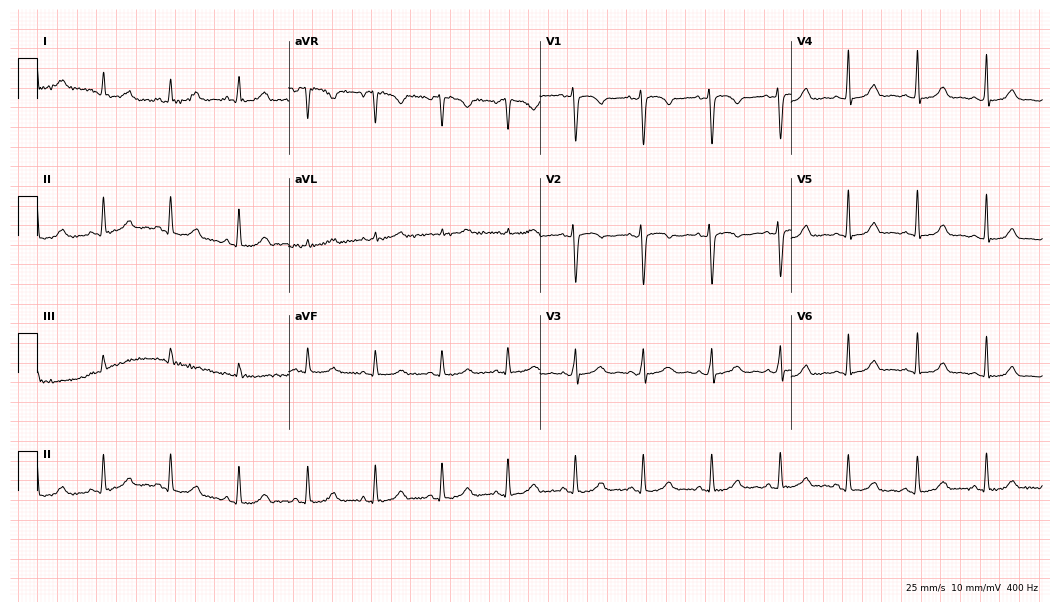
12-lead ECG from a 44-year-old female patient. No first-degree AV block, right bundle branch block, left bundle branch block, sinus bradycardia, atrial fibrillation or sinus tachycardia recorded for this tracing.